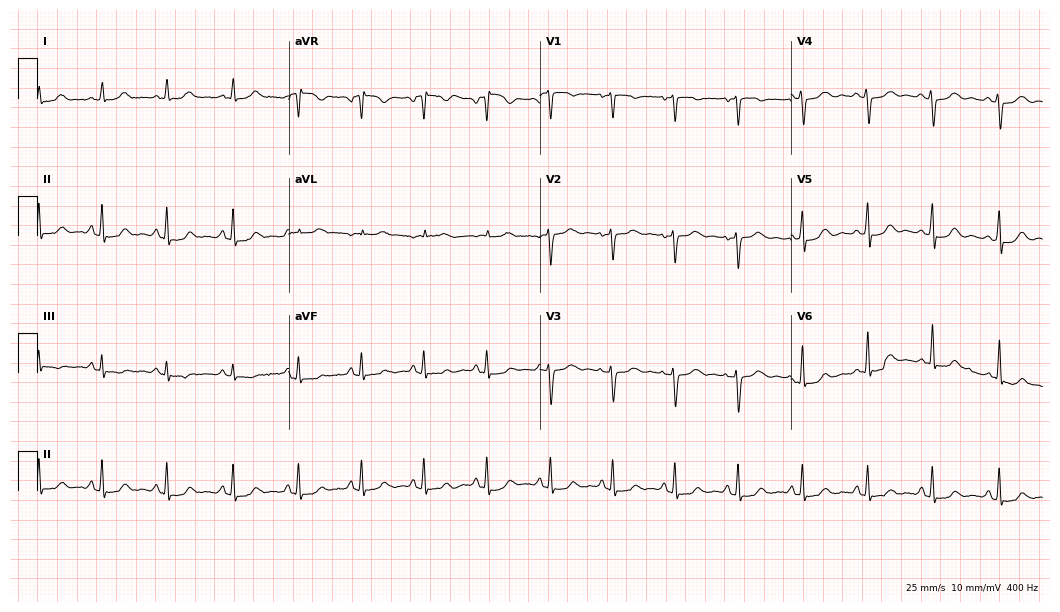
Resting 12-lead electrocardiogram (10.2-second recording at 400 Hz). Patient: a woman, 50 years old. None of these six findings is recorded: first-degree AV block, right bundle branch block, left bundle branch block, sinus bradycardia, atrial fibrillation, sinus tachycardia. Findings outside these six are not listed.